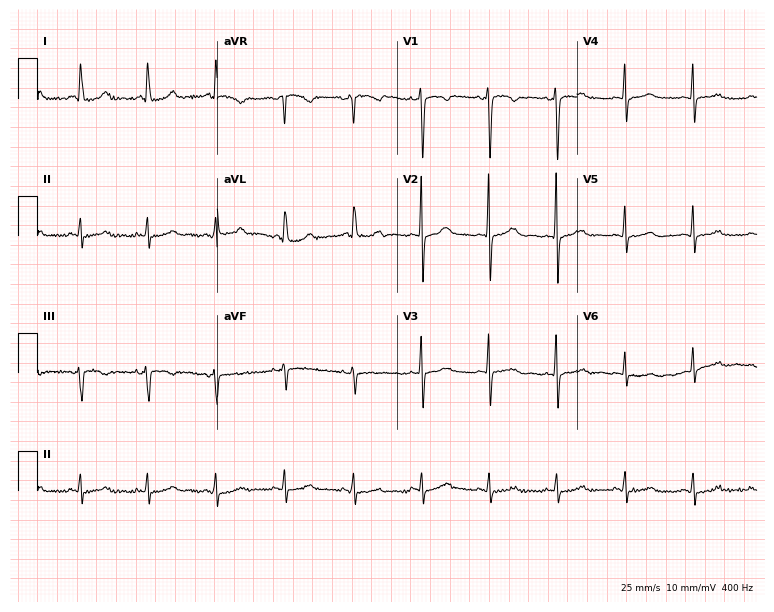
Standard 12-lead ECG recorded from a woman, 55 years old. None of these six findings is recorded: first-degree AV block, right bundle branch block (RBBB), left bundle branch block (LBBB), sinus bradycardia, atrial fibrillation (AF), sinus tachycardia.